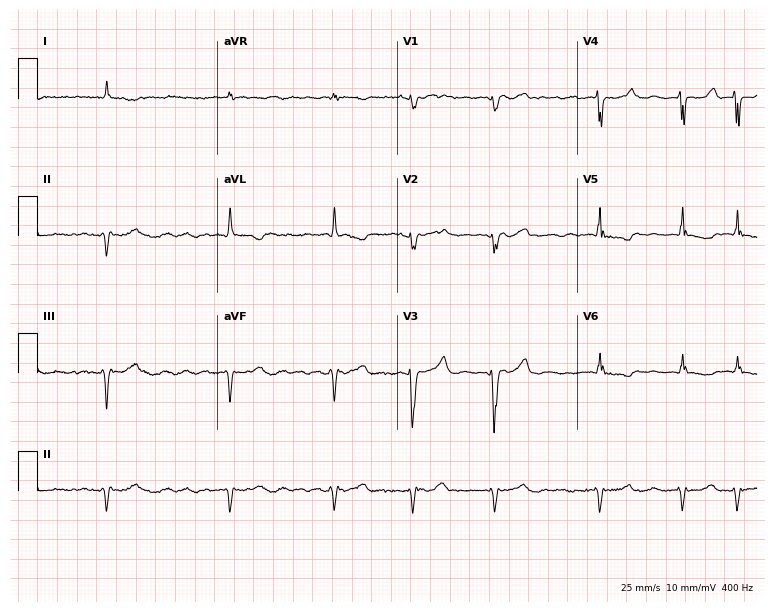
12-lead ECG (7.3-second recording at 400 Hz) from an 82-year-old man. Screened for six findings — first-degree AV block, right bundle branch block, left bundle branch block, sinus bradycardia, atrial fibrillation, sinus tachycardia — none is recorded.